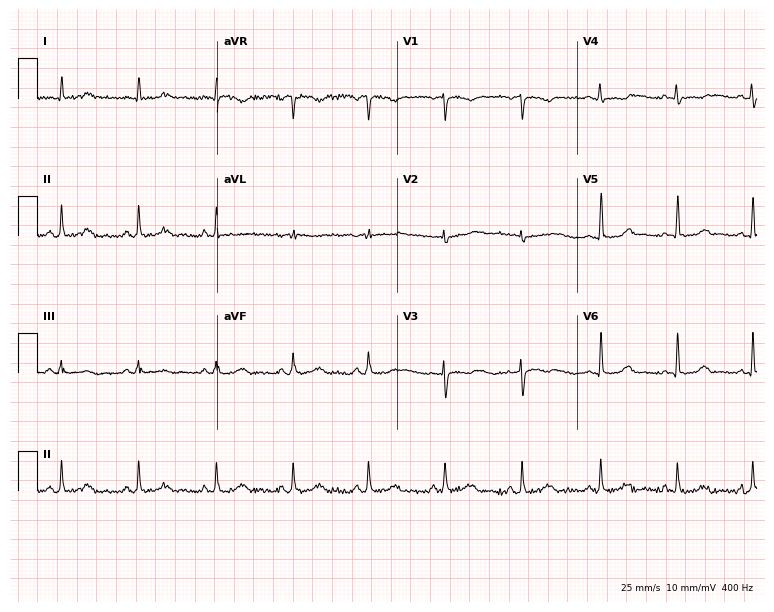
ECG (7.3-second recording at 400 Hz) — a 47-year-old female. Screened for six findings — first-degree AV block, right bundle branch block, left bundle branch block, sinus bradycardia, atrial fibrillation, sinus tachycardia — none is recorded. Findings outside these six are not listed.